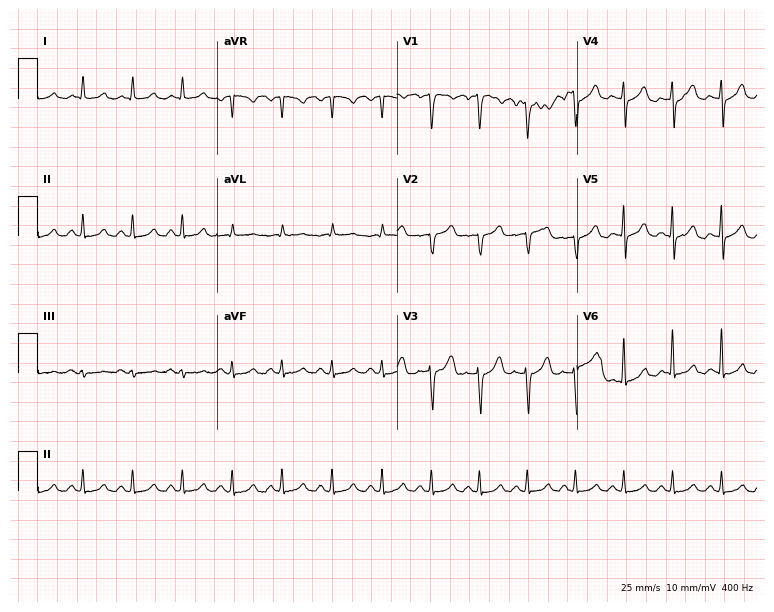
ECG (7.3-second recording at 400 Hz) — a man, 51 years old. Findings include sinus tachycardia (a sinus rate of 100 beats per minute or more).